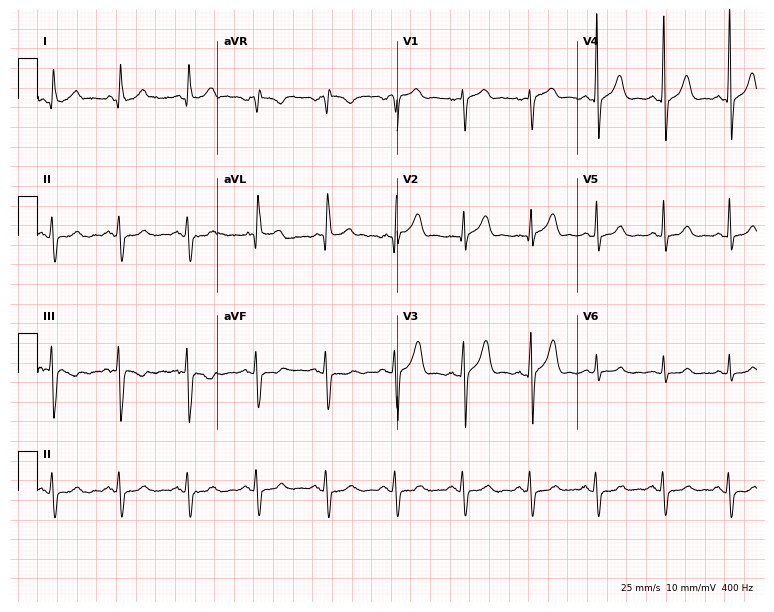
Standard 12-lead ECG recorded from a male, 73 years old. None of these six findings is recorded: first-degree AV block, right bundle branch block (RBBB), left bundle branch block (LBBB), sinus bradycardia, atrial fibrillation (AF), sinus tachycardia.